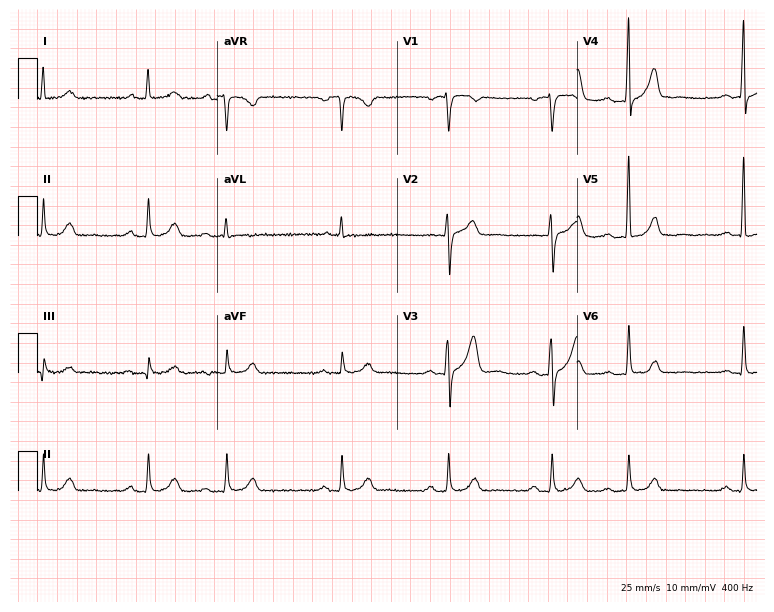
Standard 12-lead ECG recorded from an 81-year-old man (7.3-second recording at 400 Hz). Read as a normal ECG.